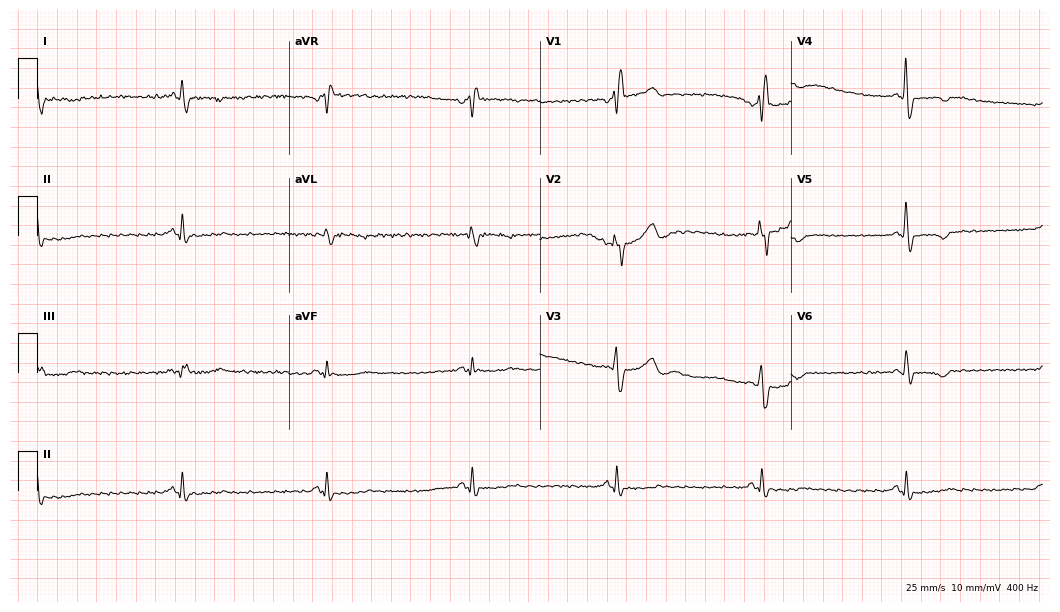
ECG (10.2-second recording at 400 Hz) — a male, 60 years old. Findings include right bundle branch block, sinus bradycardia (a sinus rate of 50 beats per minute or less).